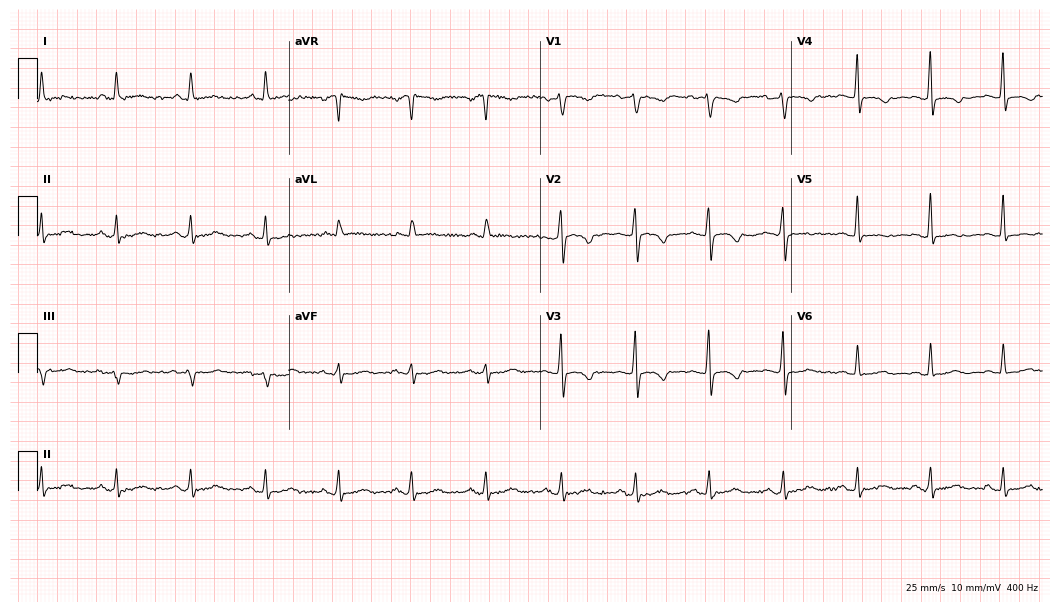
Resting 12-lead electrocardiogram (10.2-second recording at 400 Hz). Patient: a 53-year-old female. None of these six findings is recorded: first-degree AV block, right bundle branch block, left bundle branch block, sinus bradycardia, atrial fibrillation, sinus tachycardia.